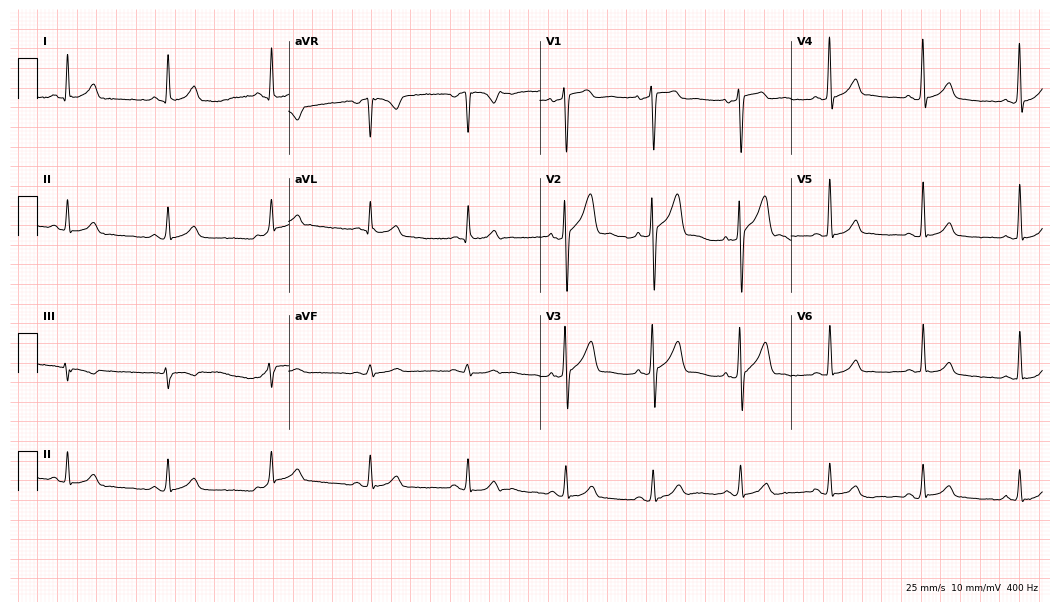
12-lead ECG from a male patient, 37 years old. Recorded interpretation: within normal limits.